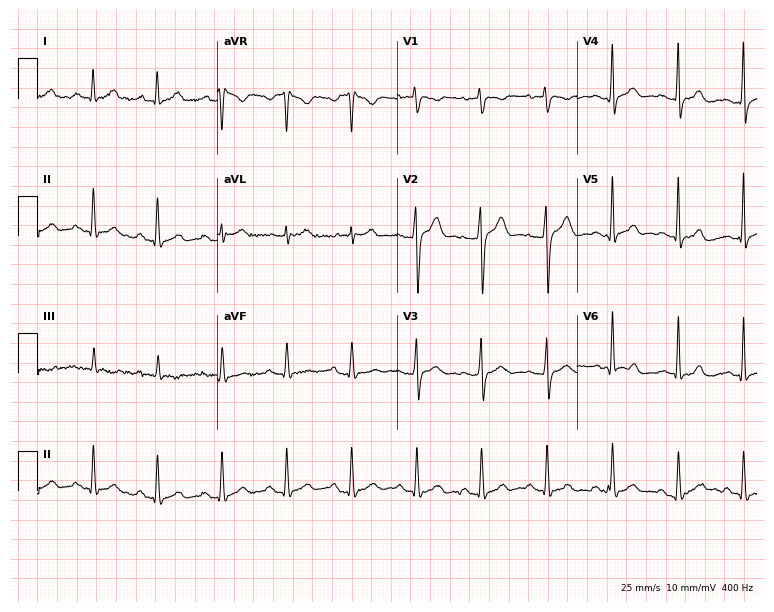
Resting 12-lead electrocardiogram (7.3-second recording at 400 Hz). Patient: a male, 42 years old. Read as a normal ECG.